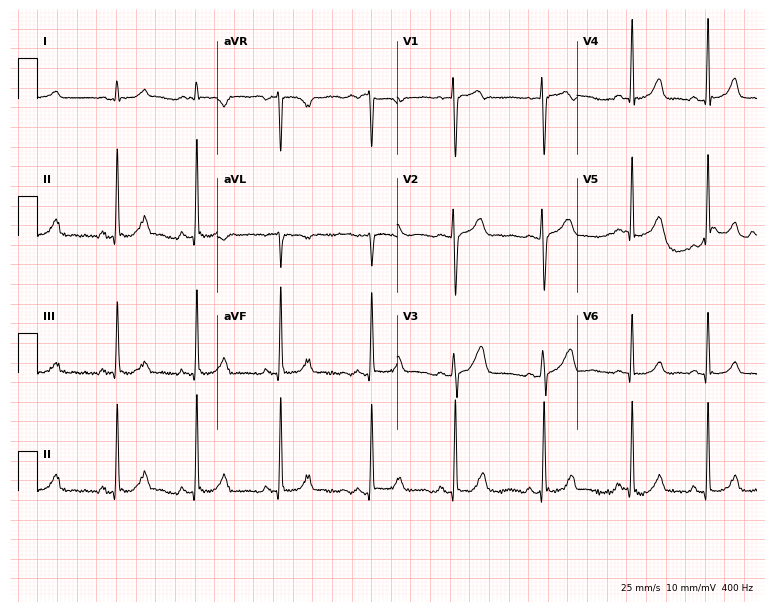
ECG — a 21-year-old female patient. Labelled as a normal ECG.